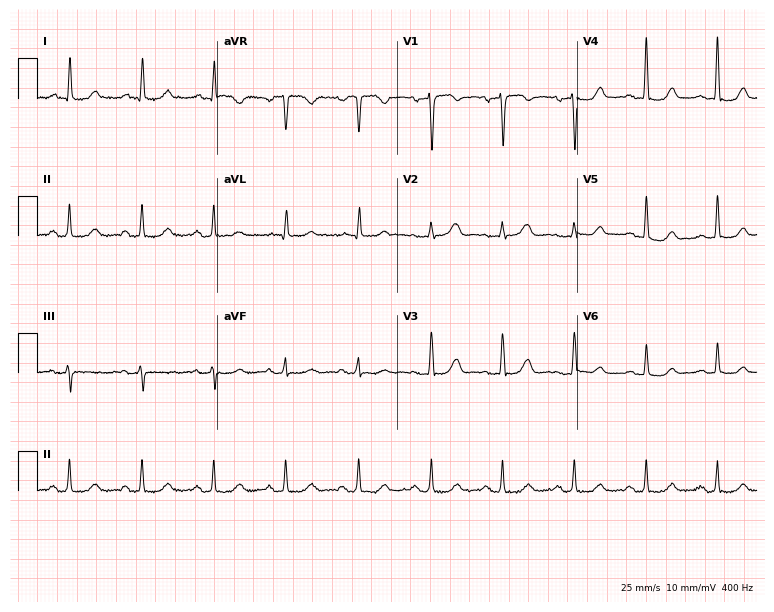
12-lead ECG from a woman, 51 years old. Labelled as a normal ECG.